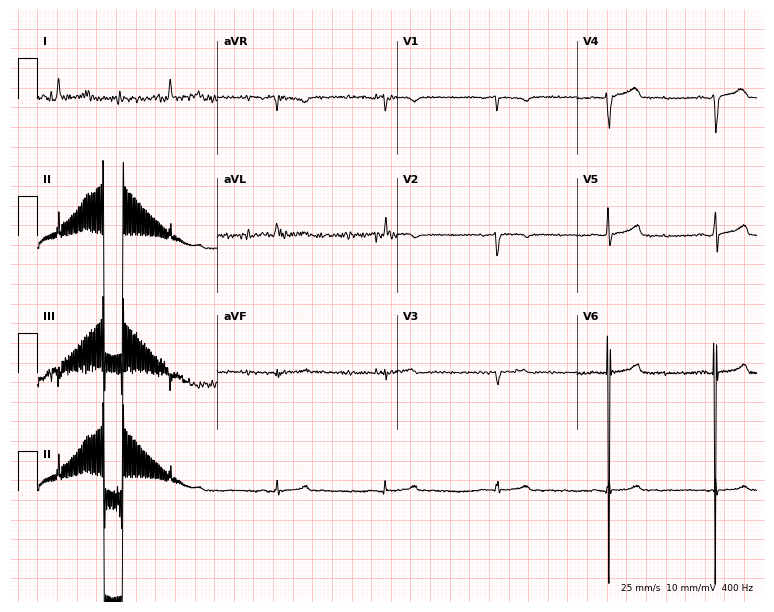
12-lead ECG from a 59-year-old man. Screened for six findings — first-degree AV block, right bundle branch block, left bundle branch block, sinus bradycardia, atrial fibrillation, sinus tachycardia — none is recorded. Findings outside these six are not listed.